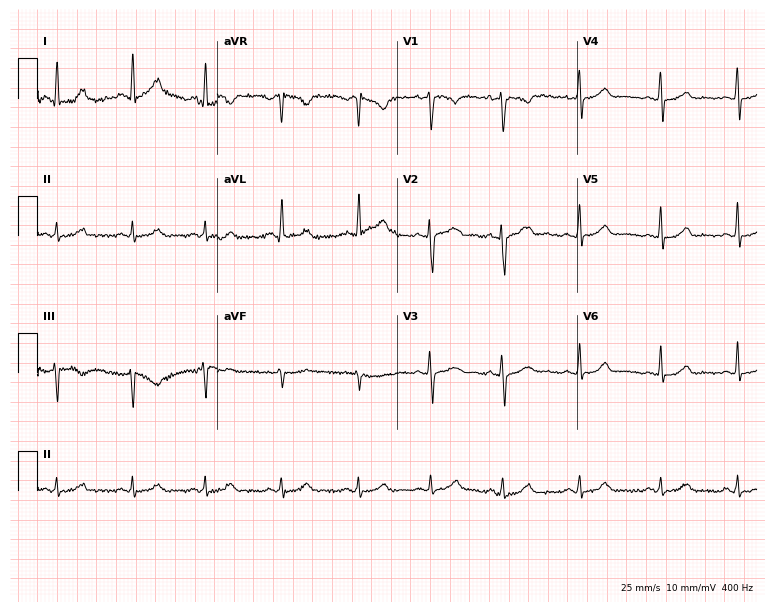
12-lead ECG from a woman, 43 years old. No first-degree AV block, right bundle branch block, left bundle branch block, sinus bradycardia, atrial fibrillation or sinus tachycardia recorded for this tracing. Findings outside these six are not listed.